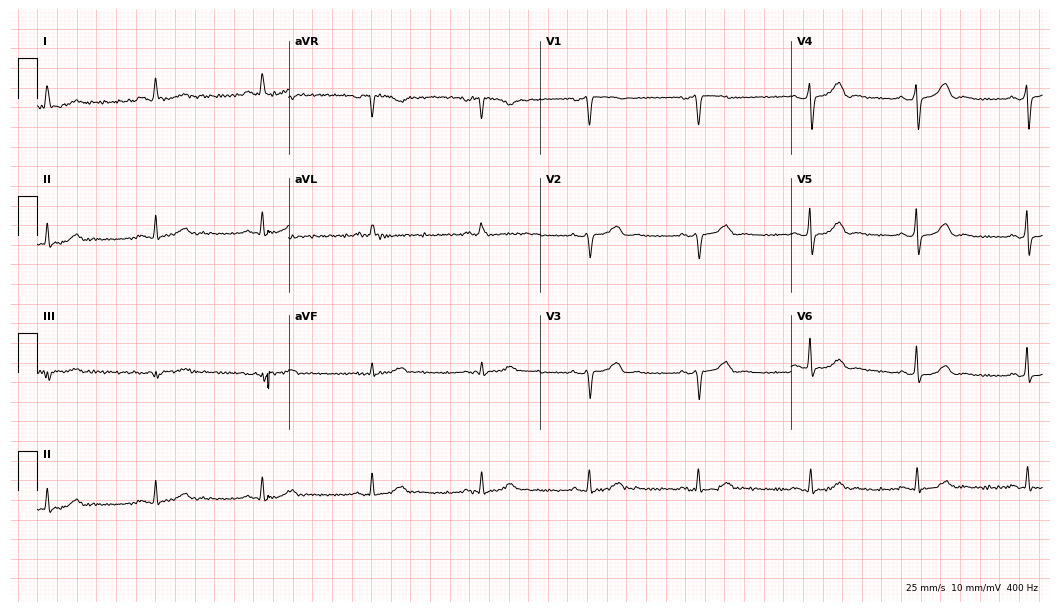
12-lead ECG from a female, 61 years old. No first-degree AV block, right bundle branch block, left bundle branch block, sinus bradycardia, atrial fibrillation or sinus tachycardia recorded for this tracing.